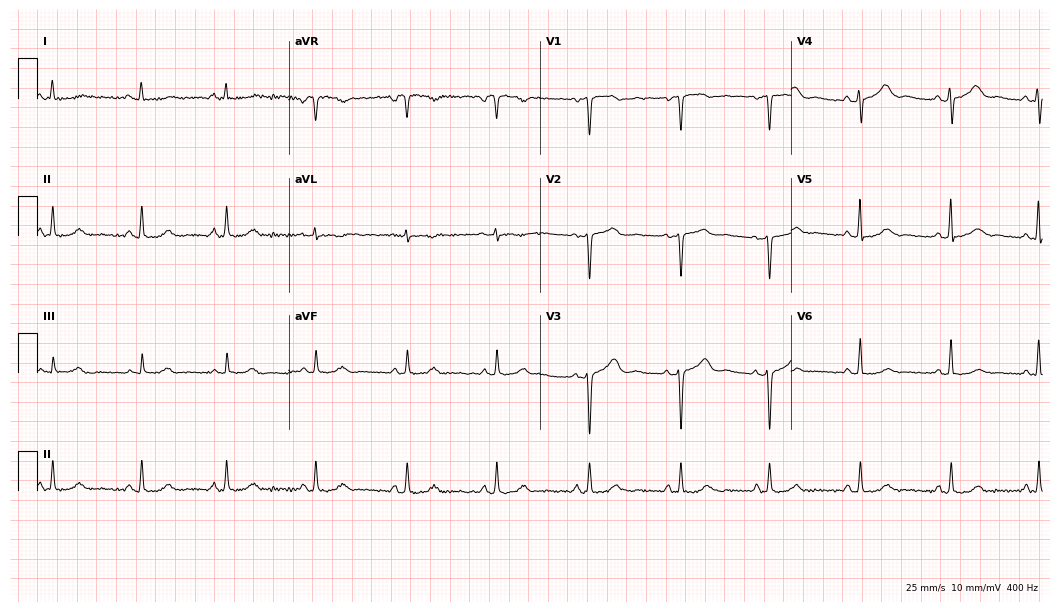
ECG — a female, 35 years old. Labelled as a normal ECG.